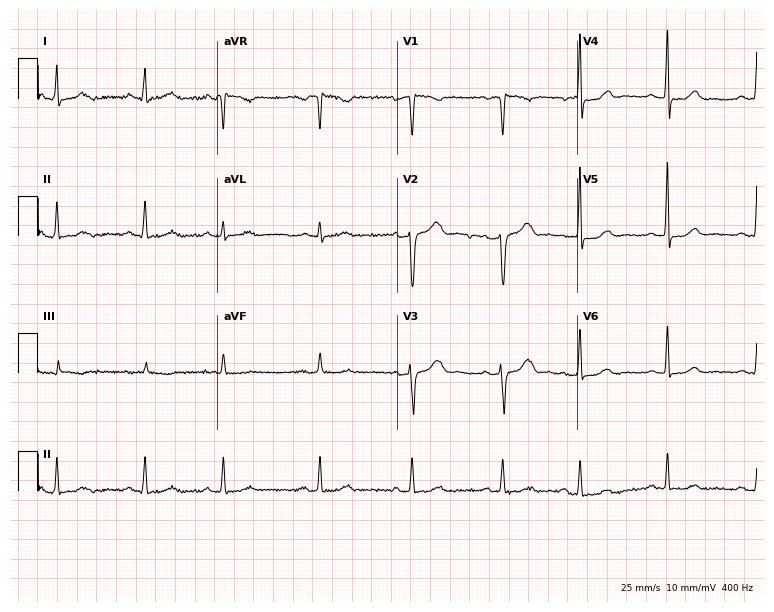
Standard 12-lead ECG recorded from a woman, 39 years old. None of these six findings is recorded: first-degree AV block, right bundle branch block, left bundle branch block, sinus bradycardia, atrial fibrillation, sinus tachycardia.